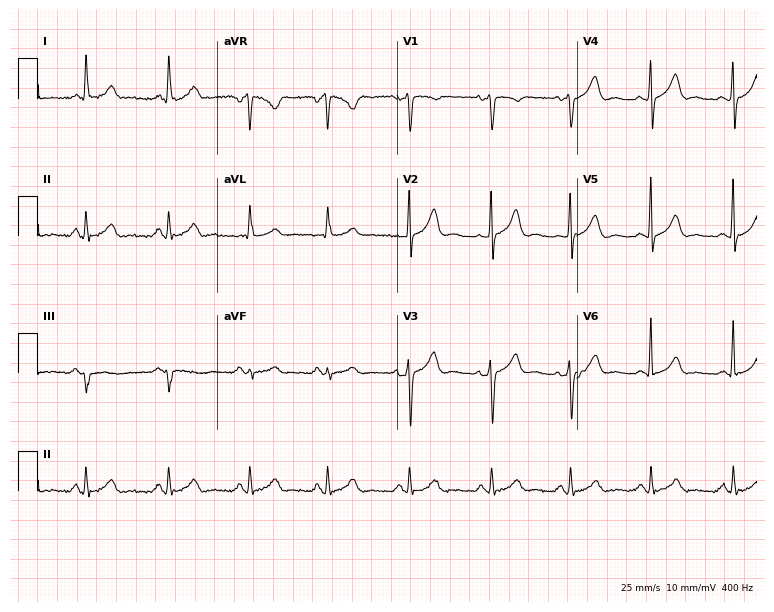
12-lead ECG from a 48-year-old female. Labelled as a normal ECG.